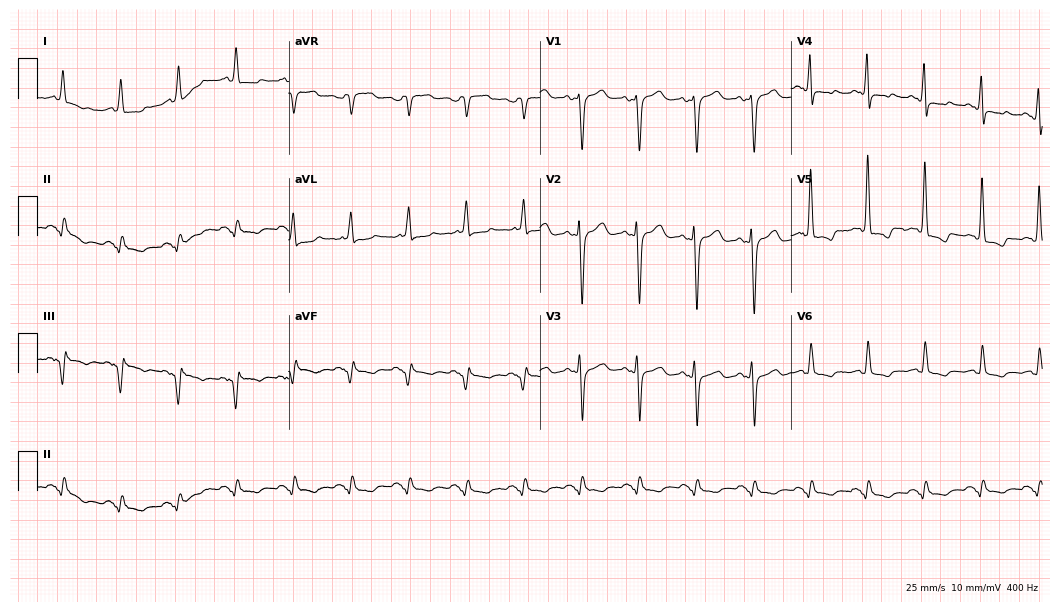
Electrocardiogram (10.2-second recording at 400 Hz), a male, 78 years old. Of the six screened findings (first-degree AV block, right bundle branch block (RBBB), left bundle branch block (LBBB), sinus bradycardia, atrial fibrillation (AF), sinus tachycardia), none is recorded. Only these six findings were labelled.